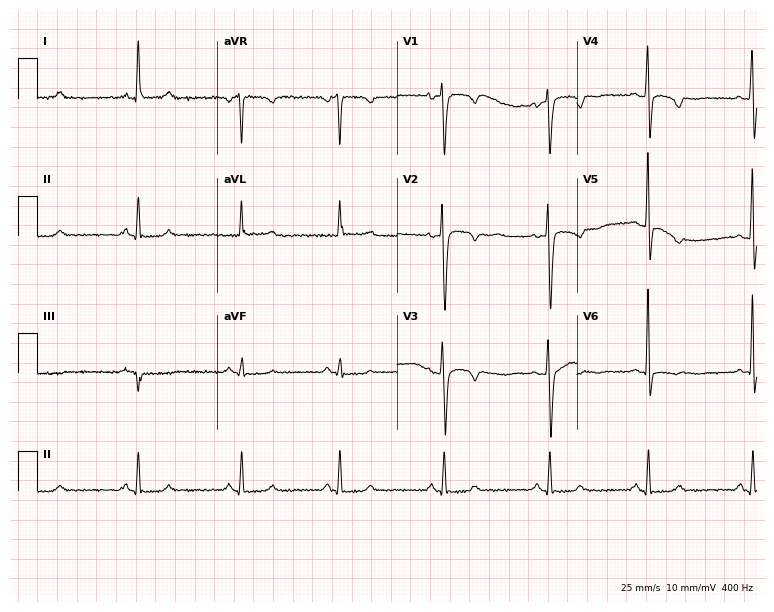
ECG — a woman, 52 years old. Screened for six findings — first-degree AV block, right bundle branch block (RBBB), left bundle branch block (LBBB), sinus bradycardia, atrial fibrillation (AF), sinus tachycardia — none is recorded. Only these six findings were labelled.